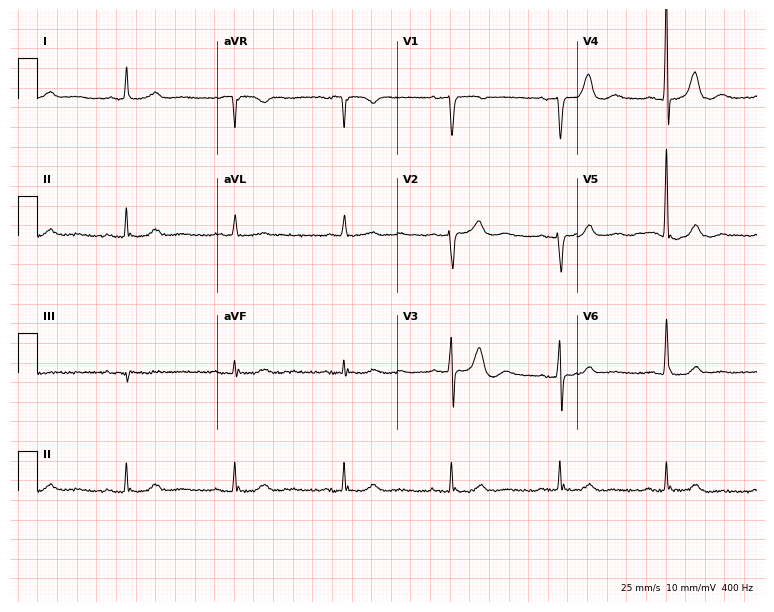
12-lead ECG from a 78-year-old woman. No first-degree AV block, right bundle branch block (RBBB), left bundle branch block (LBBB), sinus bradycardia, atrial fibrillation (AF) or sinus tachycardia recorded for this tracing. Findings outside these six are not listed.